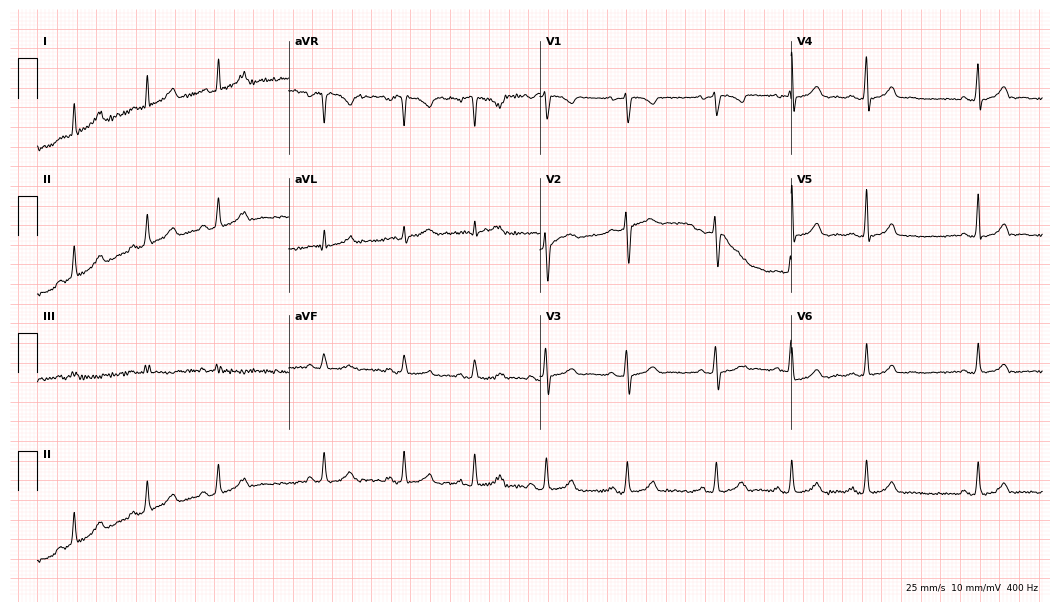
Standard 12-lead ECG recorded from a woman, 28 years old. None of these six findings is recorded: first-degree AV block, right bundle branch block, left bundle branch block, sinus bradycardia, atrial fibrillation, sinus tachycardia. Other findings, if any, are not listed.